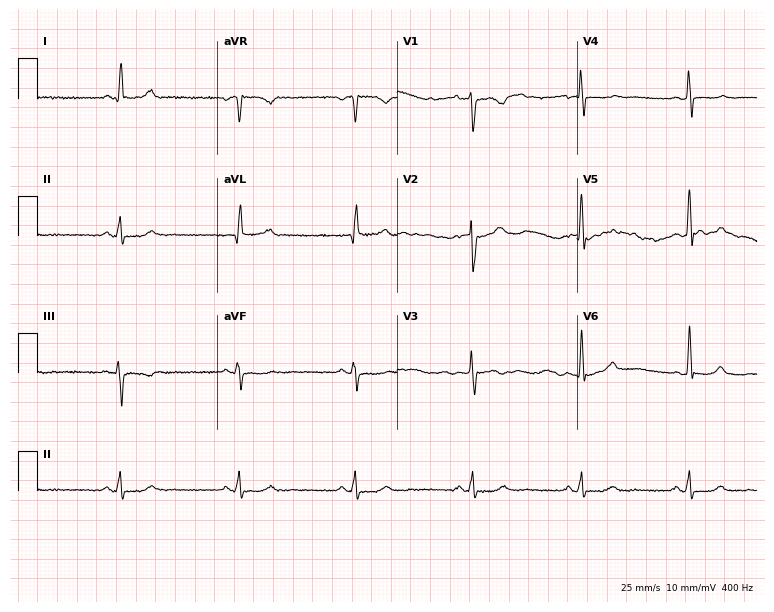
Standard 12-lead ECG recorded from a woman, 42 years old. None of these six findings is recorded: first-degree AV block, right bundle branch block (RBBB), left bundle branch block (LBBB), sinus bradycardia, atrial fibrillation (AF), sinus tachycardia.